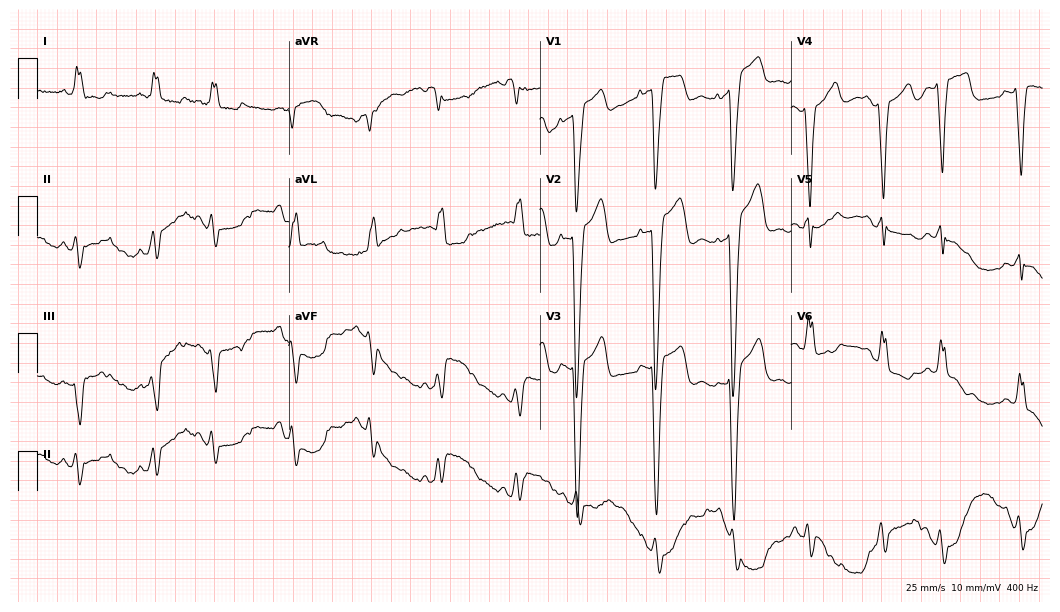
ECG — a 75-year-old woman. Screened for six findings — first-degree AV block, right bundle branch block (RBBB), left bundle branch block (LBBB), sinus bradycardia, atrial fibrillation (AF), sinus tachycardia — none is recorded.